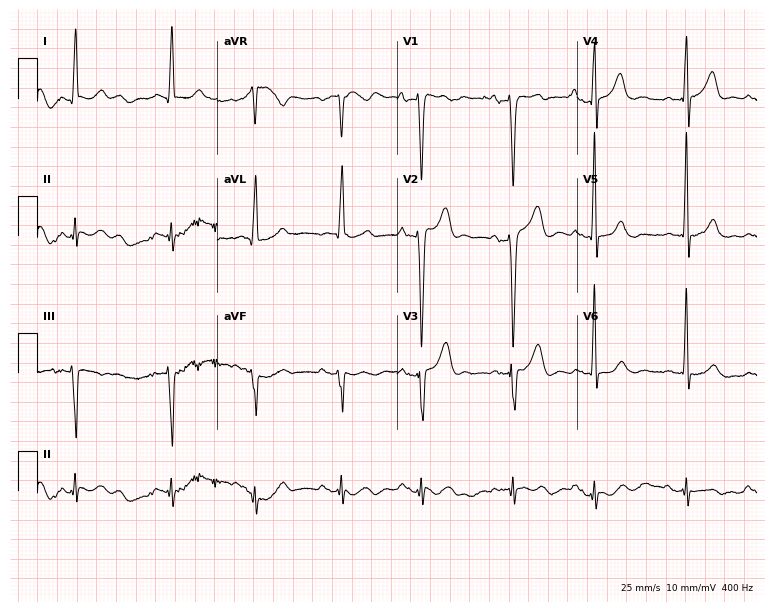
ECG — a man, 82 years old. Screened for six findings — first-degree AV block, right bundle branch block (RBBB), left bundle branch block (LBBB), sinus bradycardia, atrial fibrillation (AF), sinus tachycardia — none is recorded. Findings outside these six are not listed.